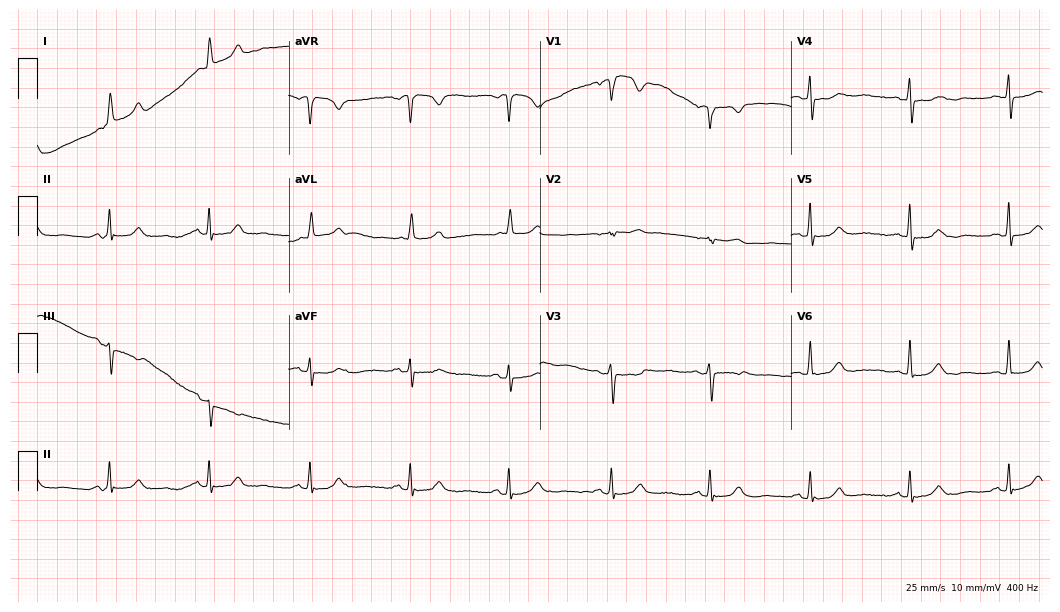
12-lead ECG from a 69-year-old woman. Recorded interpretation: within normal limits.